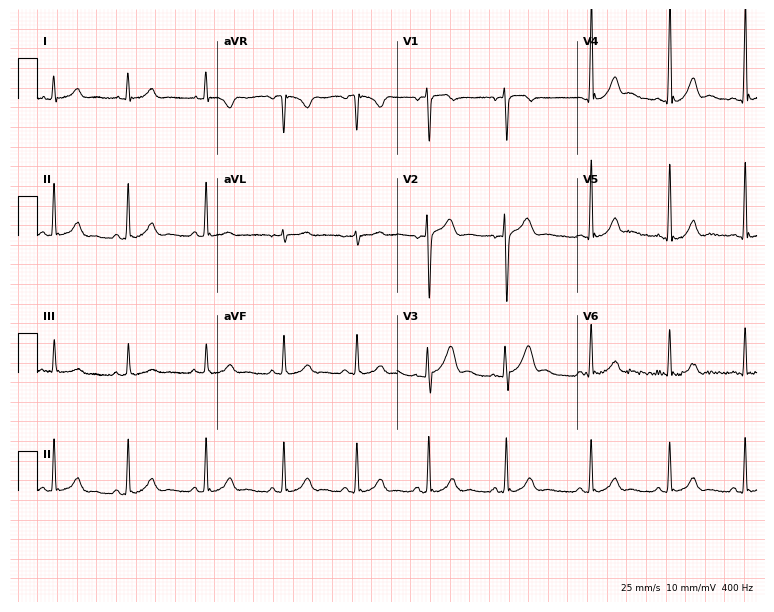
12-lead ECG from an 18-year-old man. No first-degree AV block, right bundle branch block, left bundle branch block, sinus bradycardia, atrial fibrillation or sinus tachycardia recorded for this tracing. Findings outside these six are not listed.